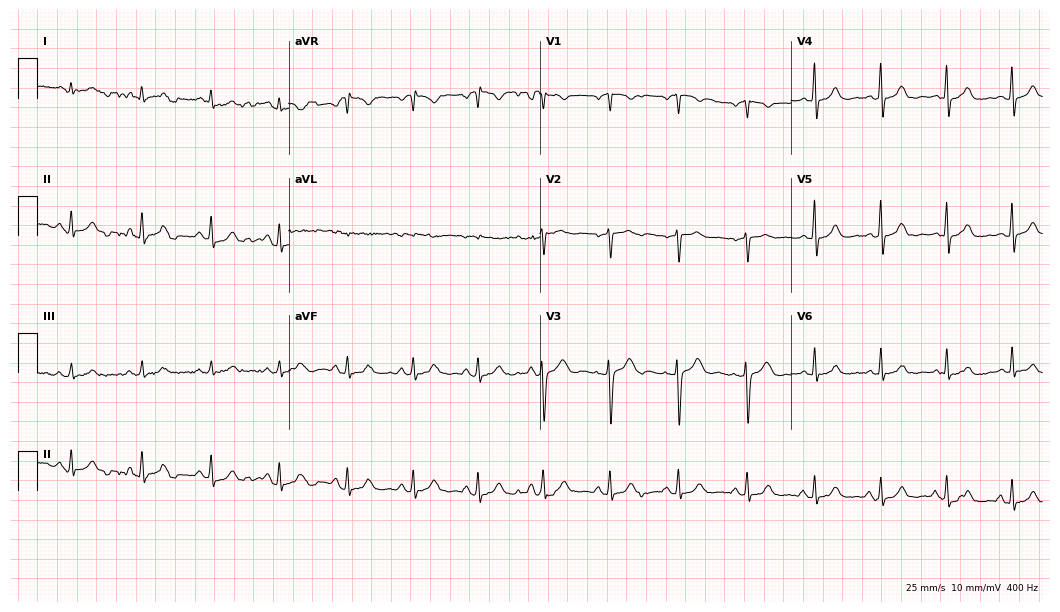
Resting 12-lead electrocardiogram. Patient: a 41-year-old female. Read as a normal ECG.